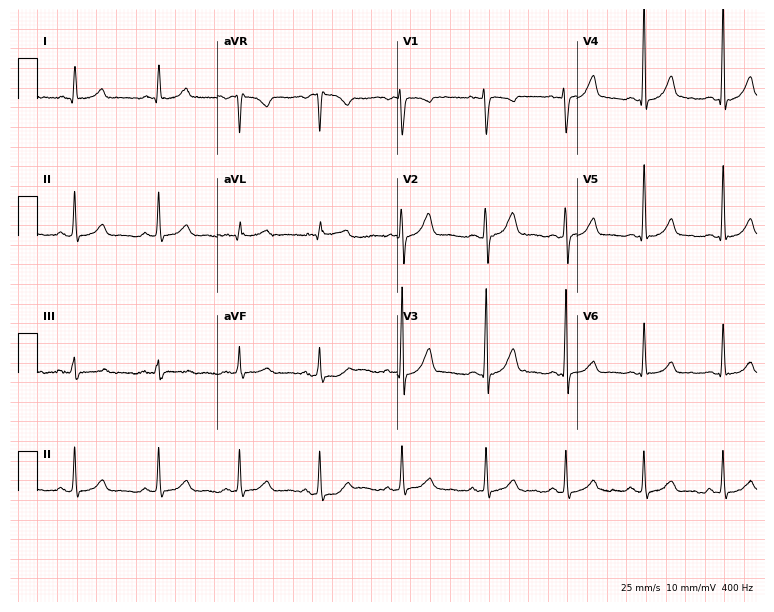
Electrocardiogram, a 32-year-old female patient. Of the six screened findings (first-degree AV block, right bundle branch block, left bundle branch block, sinus bradycardia, atrial fibrillation, sinus tachycardia), none is recorded. Other findings, if any, are not listed.